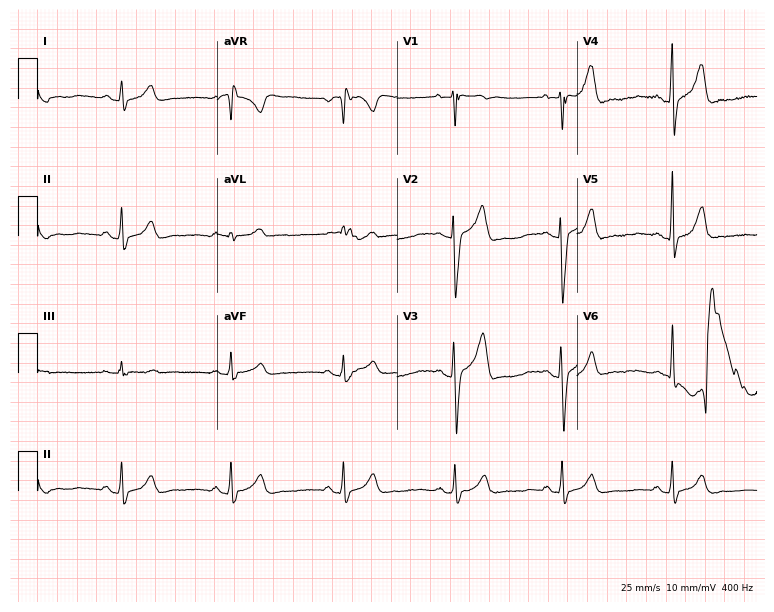
Standard 12-lead ECG recorded from a 27-year-old man. None of these six findings is recorded: first-degree AV block, right bundle branch block (RBBB), left bundle branch block (LBBB), sinus bradycardia, atrial fibrillation (AF), sinus tachycardia. Other findings, if any, are not listed.